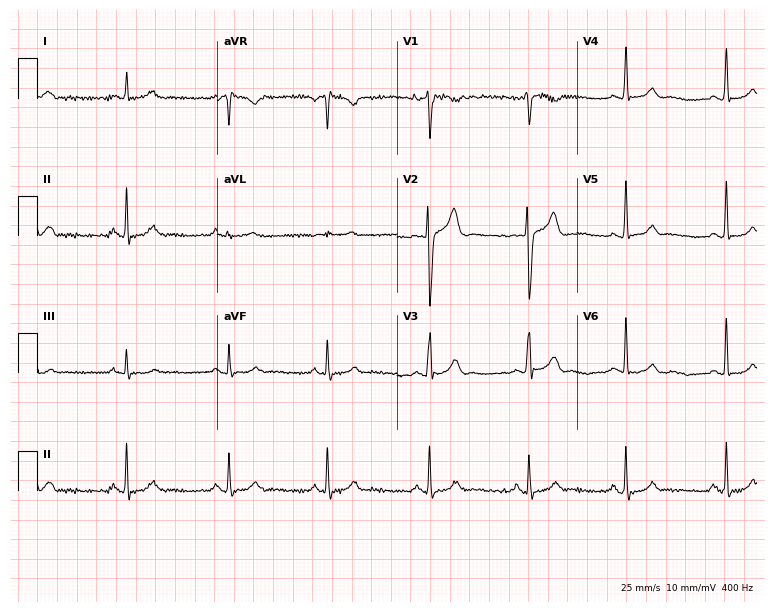
12-lead ECG from a 33-year-old male (7.3-second recording at 400 Hz). Recorded interpretation: within normal limits.